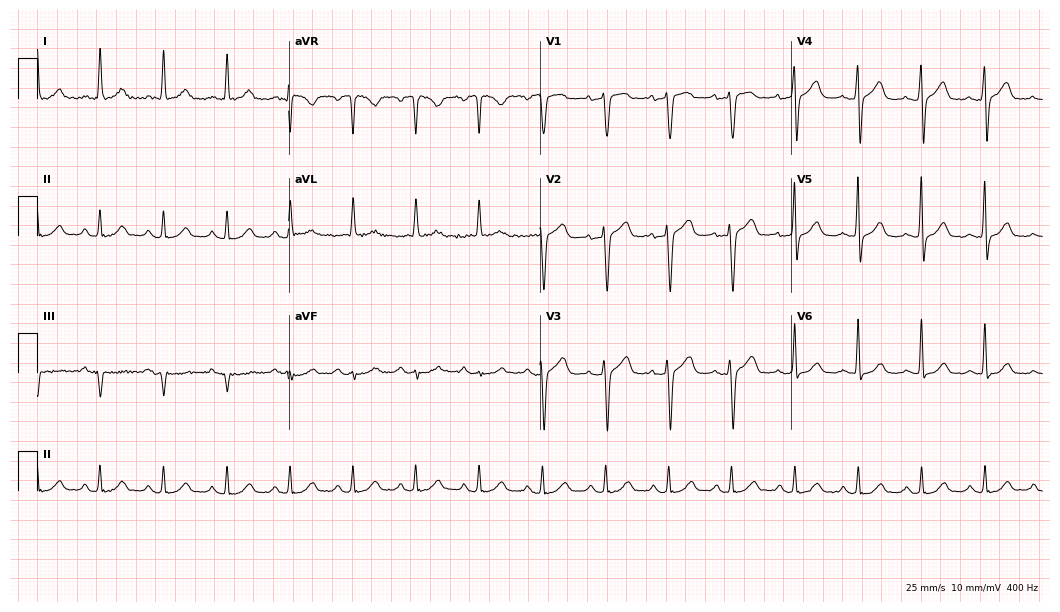
Standard 12-lead ECG recorded from a woman, 76 years old. Read as a normal ECG.